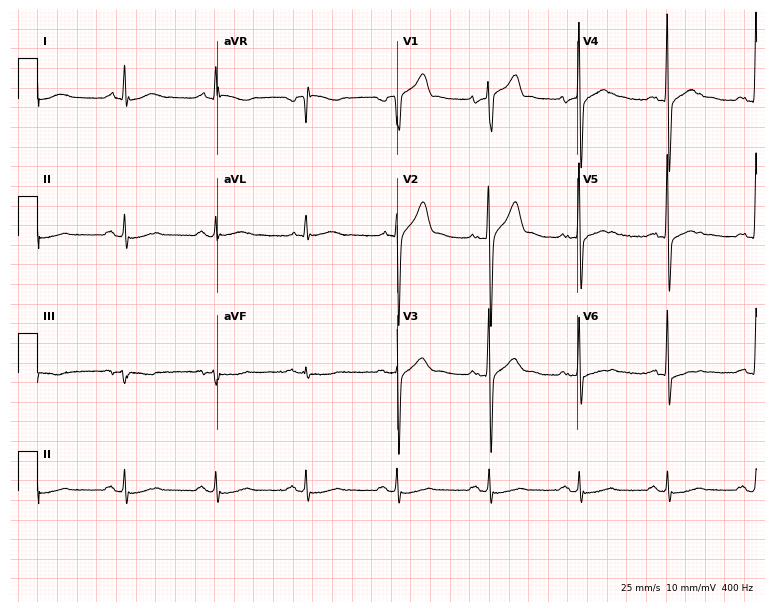
Standard 12-lead ECG recorded from a man, 59 years old (7.3-second recording at 400 Hz). Read as a normal ECG.